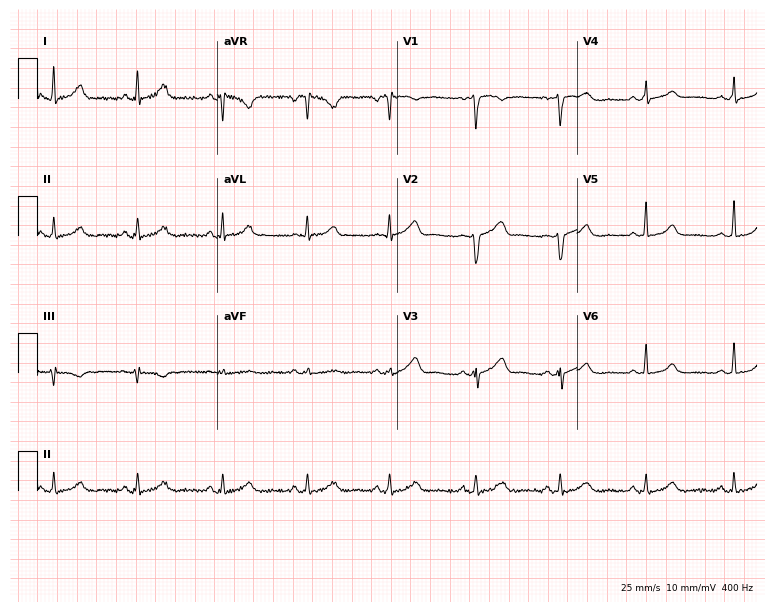
ECG — a female, 44 years old. Screened for six findings — first-degree AV block, right bundle branch block, left bundle branch block, sinus bradycardia, atrial fibrillation, sinus tachycardia — none is recorded.